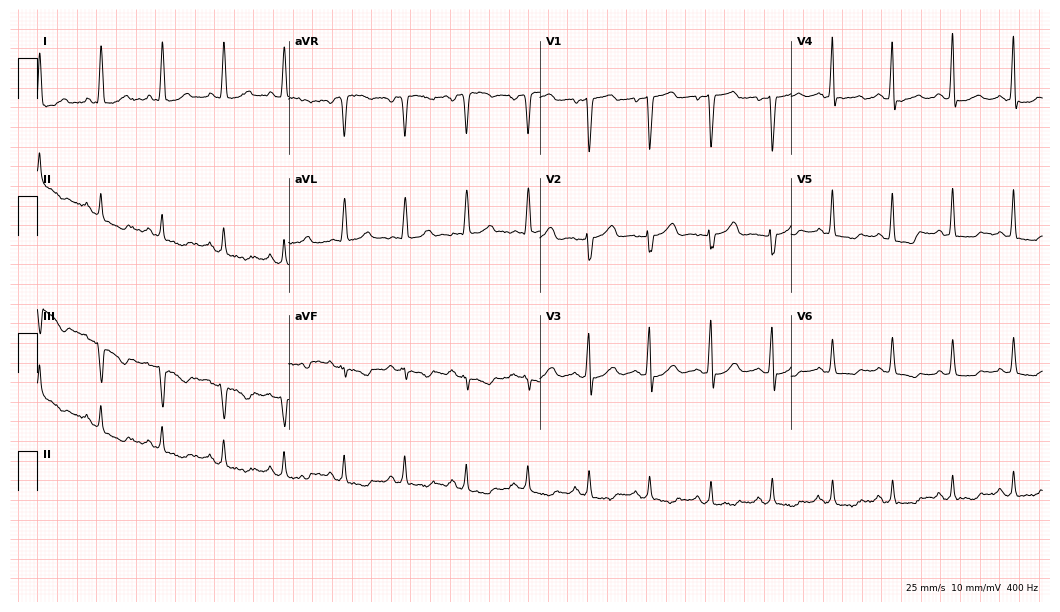
Electrocardiogram (10.2-second recording at 400 Hz), a 73-year-old female. Of the six screened findings (first-degree AV block, right bundle branch block (RBBB), left bundle branch block (LBBB), sinus bradycardia, atrial fibrillation (AF), sinus tachycardia), none is recorded.